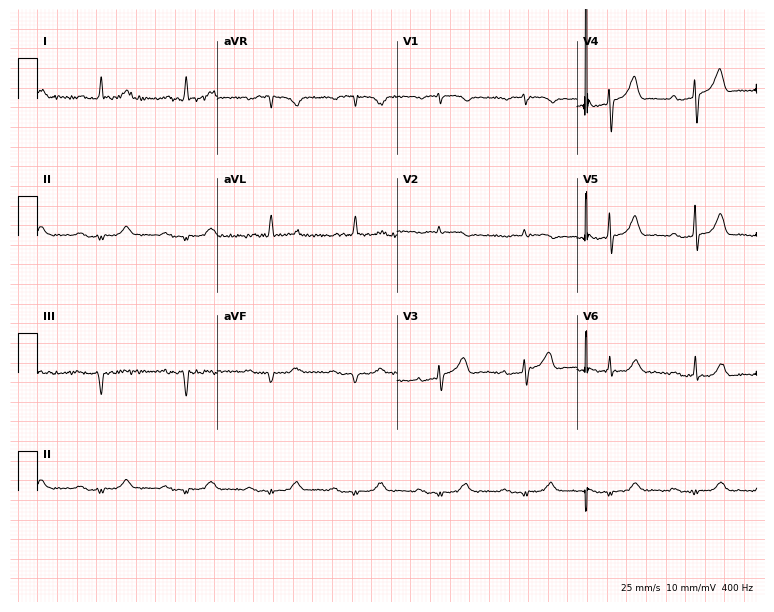
ECG (7.3-second recording at 400 Hz) — a male, 81 years old. Screened for six findings — first-degree AV block, right bundle branch block, left bundle branch block, sinus bradycardia, atrial fibrillation, sinus tachycardia — none is recorded. Findings outside these six are not listed.